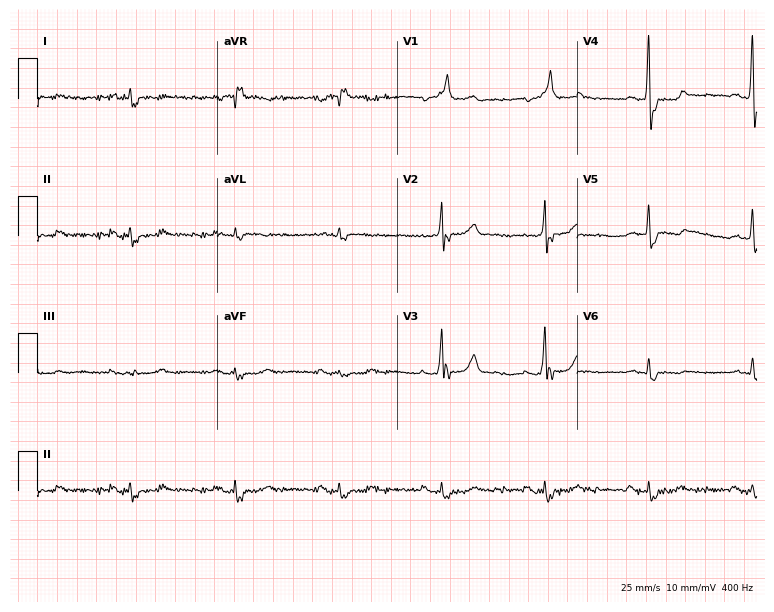
Standard 12-lead ECG recorded from a male patient, 76 years old (7.3-second recording at 400 Hz). None of these six findings is recorded: first-degree AV block, right bundle branch block (RBBB), left bundle branch block (LBBB), sinus bradycardia, atrial fibrillation (AF), sinus tachycardia.